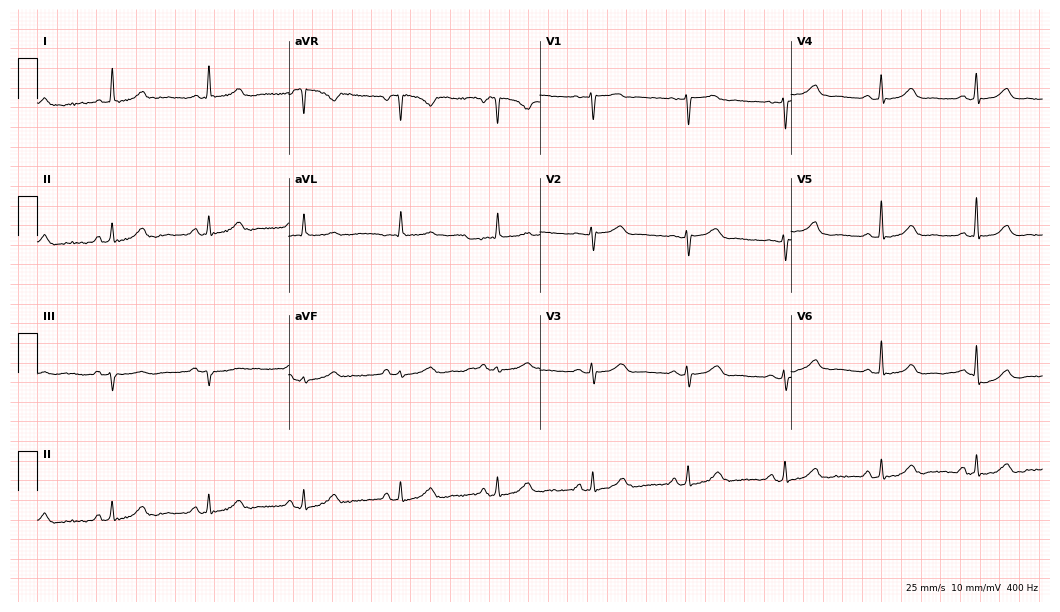
Electrocardiogram (10.2-second recording at 400 Hz), a female, 61 years old. Overall reading on record: normal ECG.